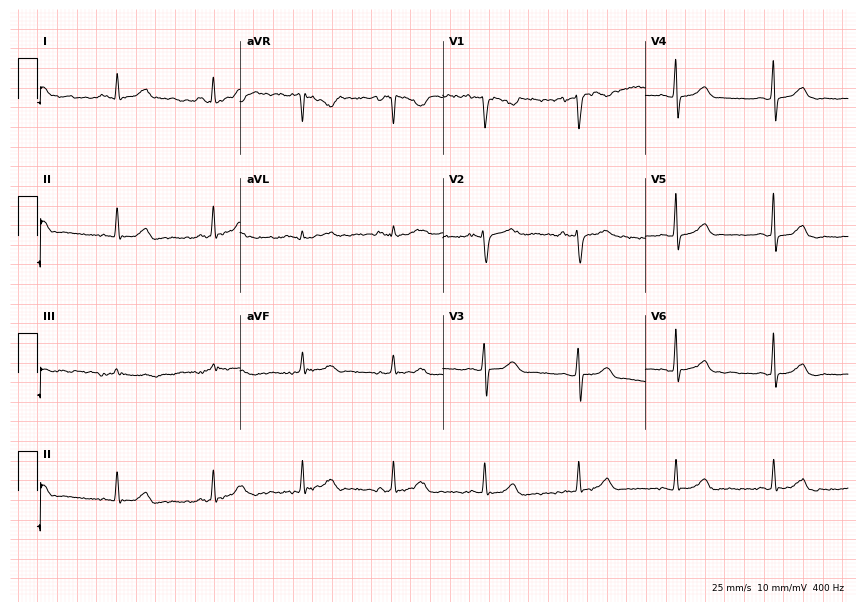
Electrocardiogram (8.3-second recording at 400 Hz), a 36-year-old female patient. Overall reading on record: normal ECG.